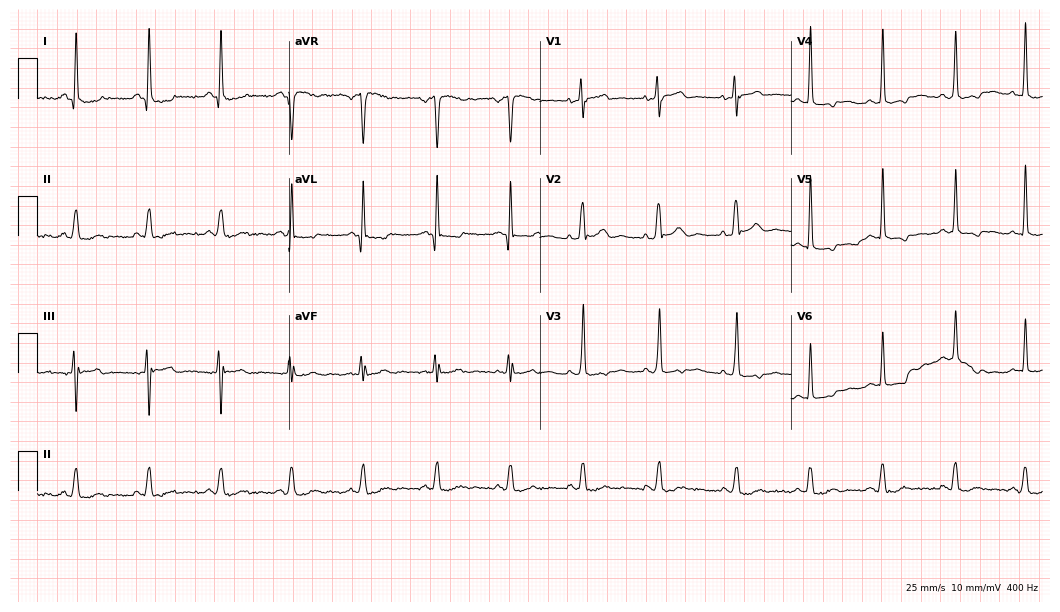
Resting 12-lead electrocardiogram (10.2-second recording at 400 Hz). Patient: a man, 41 years old. None of these six findings is recorded: first-degree AV block, right bundle branch block (RBBB), left bundle branch block (LBBB), sinus bradycardia, atrial fibrillation (AF), sinus tachycardia. Other findings, if any, are not listed.